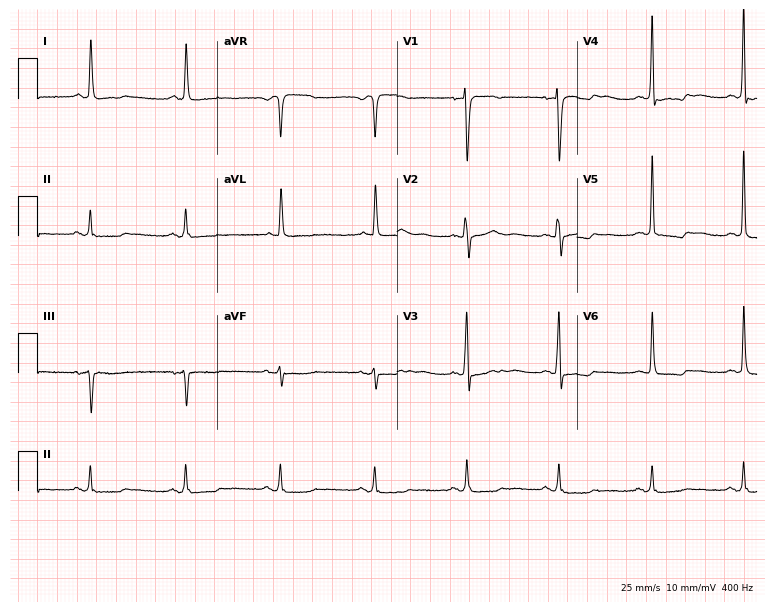
Standard 12-lead ECG recorded from a 73-year-old female patient. None of these six findings is recorded: first-degree AV block, right bundle branch block, left bundle branch block, sinus bradycardia, atrial fibrillation, sinus tachycardia.